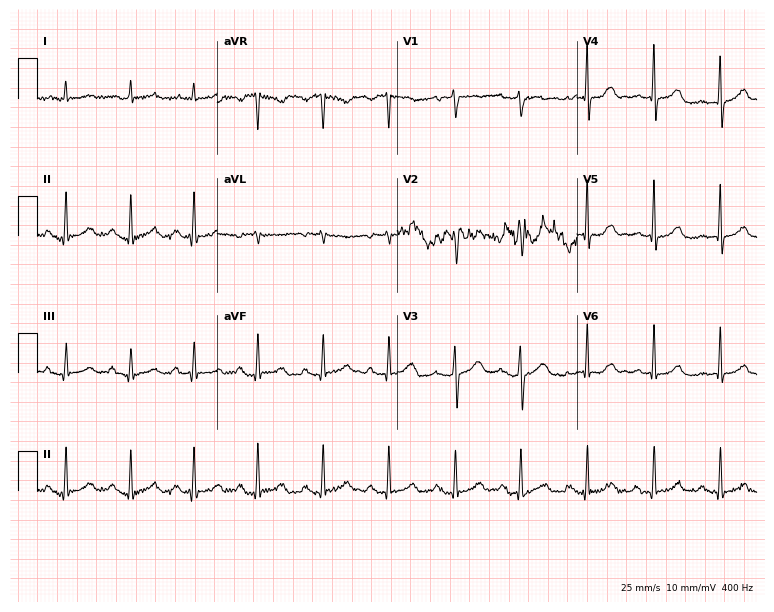
12-lead ECG from a female patient, 76 years old. Recorded interpretation: within normal limits.